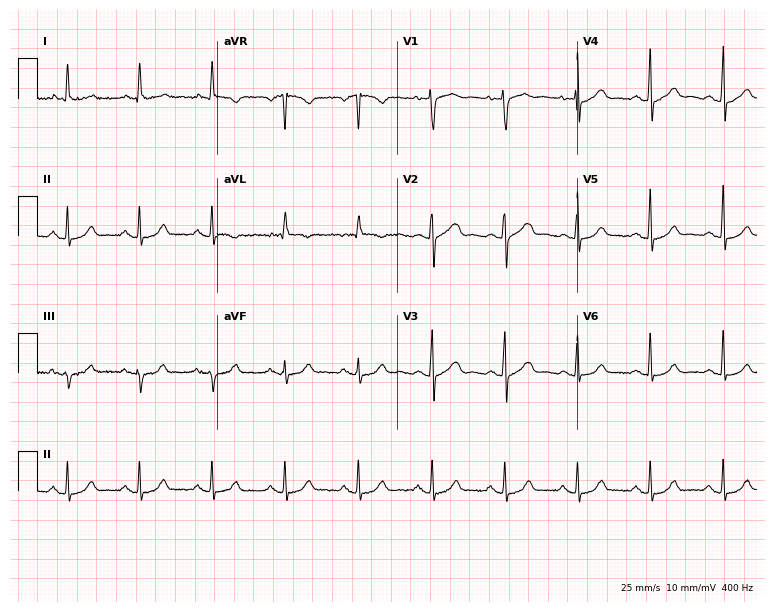
Resting 12-lead electrocardiogram. Patient: a female, 70 years old. None of these six findings is recorded: first-degree AV block, right bundle branch block (RBBB), left bundle branch block (LBBB), sinus bradycardia, atrial fibrillation (AF), sinus tachycardia. Findings outside these six are not listed.